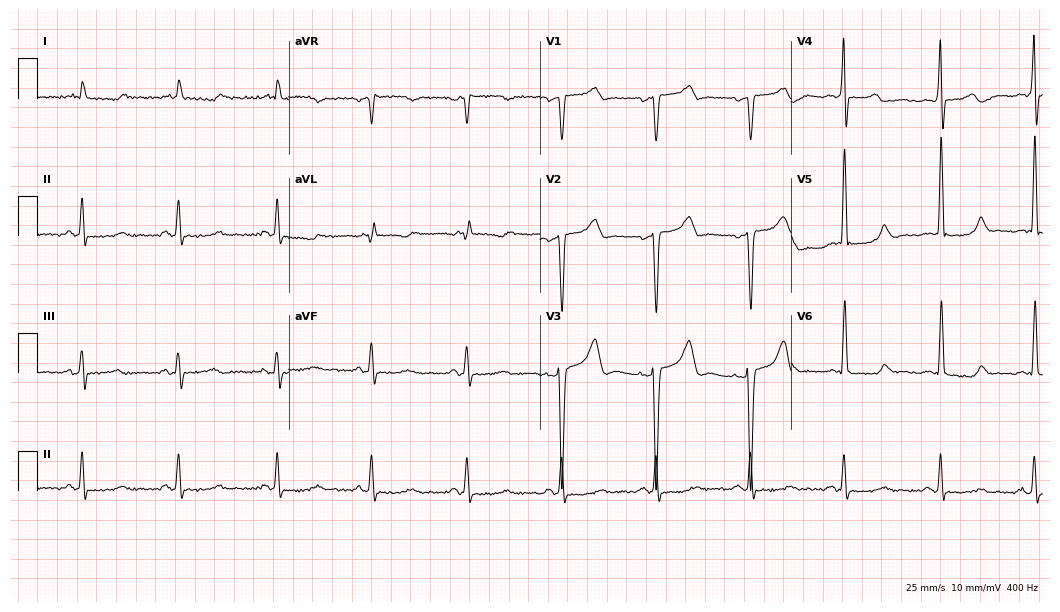
Electrocardiogram (10.2-second recording at 400 Hz), a 67-year-old male. Of the six screened findings (first-degree AV block, right bundle branch block, left bundle branch block, sinus bradycardia, atrial fibrillation, sinus tachycardia), none is recorded. Findings outside these six are not listed.